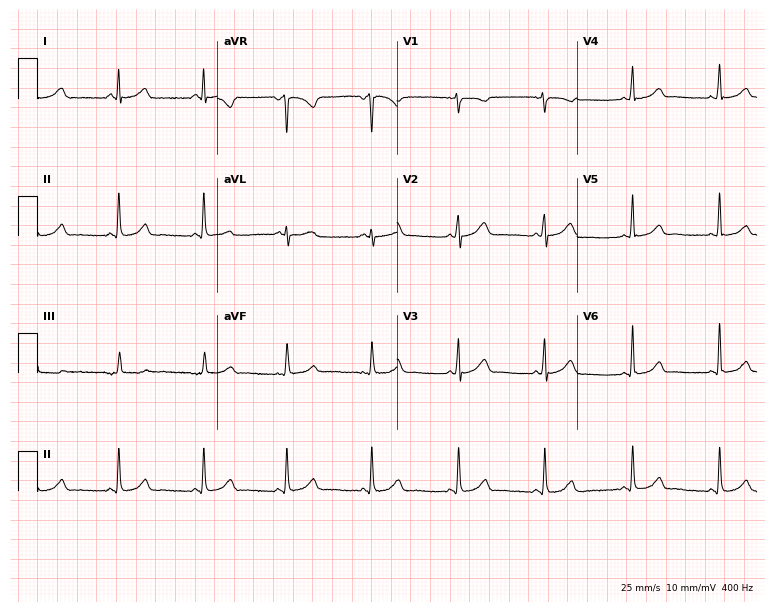
Standard 12-lead ECG recorded from a 35-year-old woman. None of these six findings is recorded: first-degree AV block, right bundle branch block, left bundle branch block, sinus bradycardia, atrial fibrillation, sinus tachycardia. Findings outside these six are not listed.